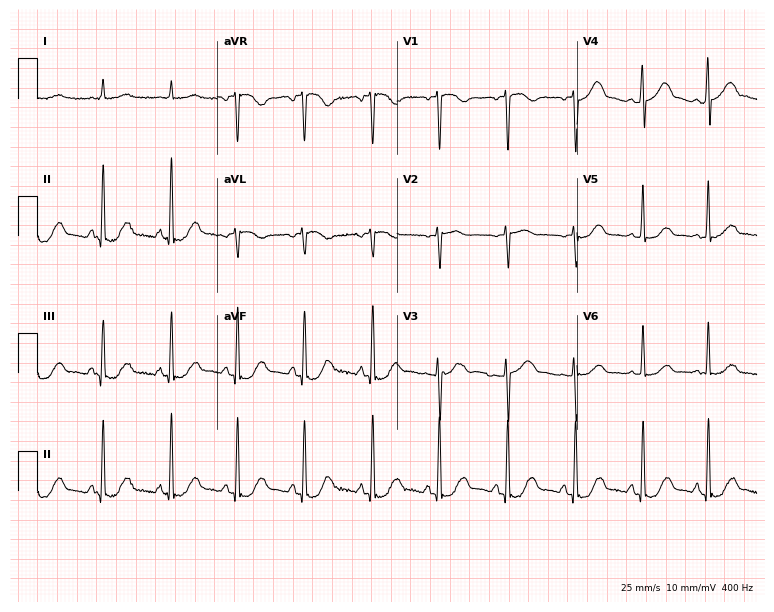
ECG — a 72-year-old female patient. Screened for six findings — first-degree AV block, right bundle branch block, left bundle branch block, sinus bradycardia, atrial fibrillation, sinus tachycardia — none is recorded. Other findings, if any, are not listed.